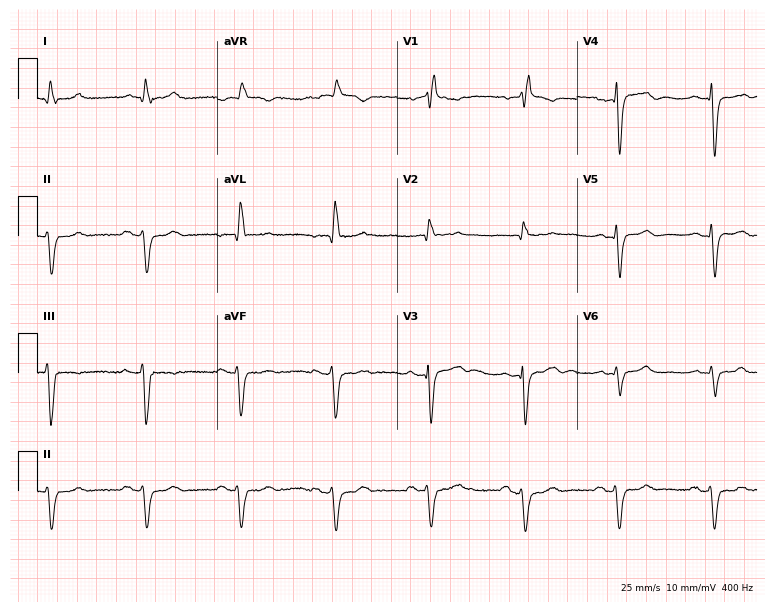
12-lead ECG (7.3-second recording at 400 Hz) from an 82-year-old man. Findings include right bundle branch block.